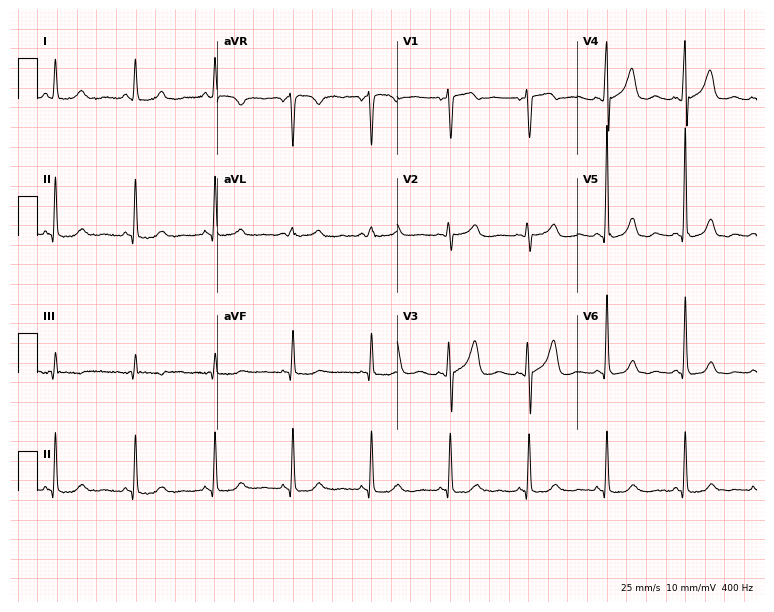
12-lead ECG from a female, 63 years old. No first-degree AV block, right bundle branch block, left bundle branch block, sinus bradycardia, atrial fibrillation or sinus tachycardia recorded for this tracing.